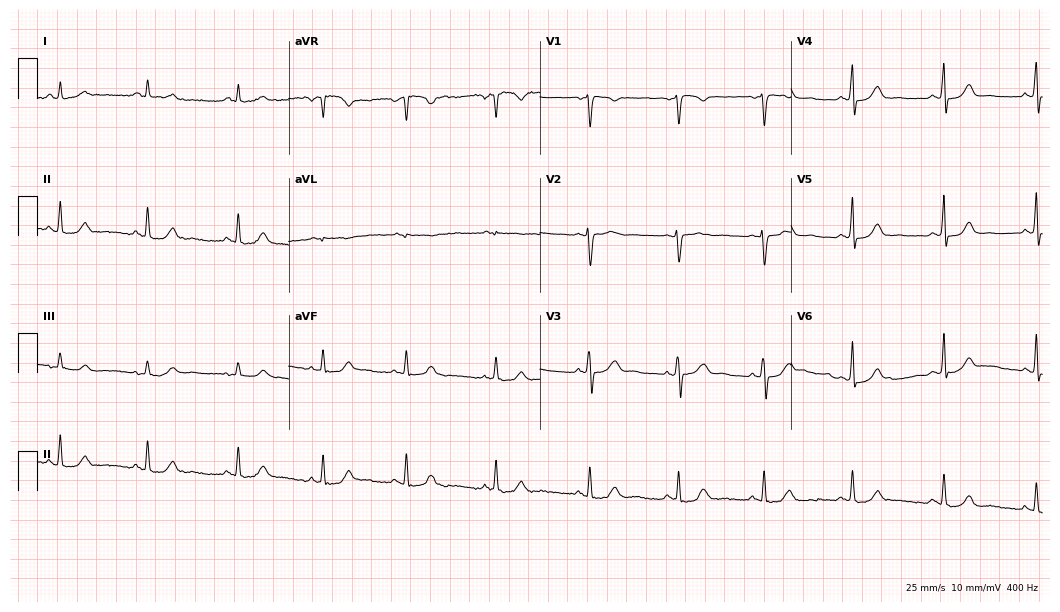
Standard 12-lead ECG recorded from a 38-year-old female. Read as a normal ECG.